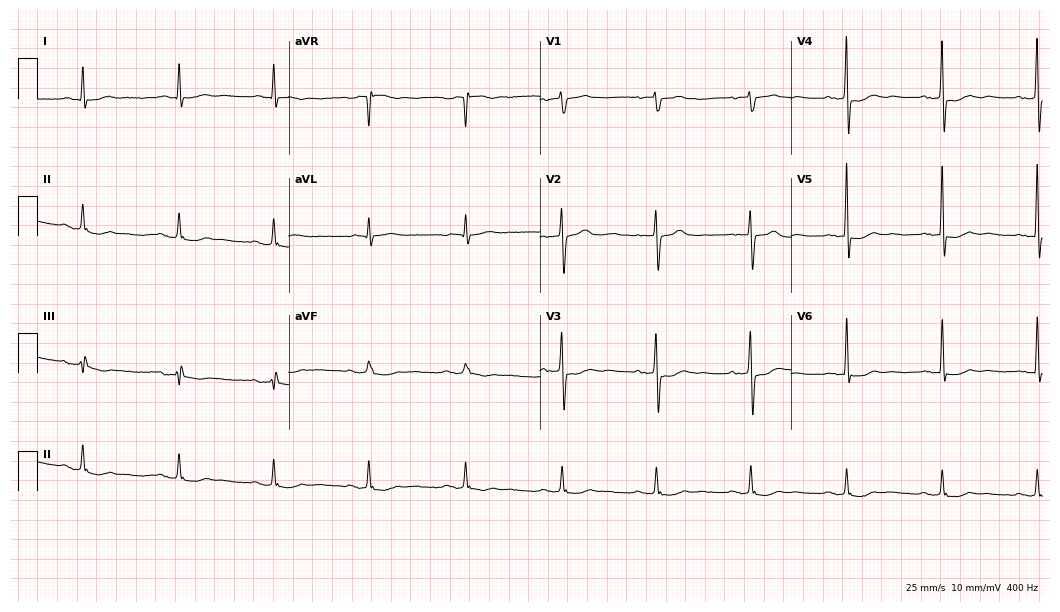
12-lead ECG from an 83-year-old female (10.2-second recording at 400 Hz). No first-degree AV block, right bundle branch block (RBBB), left bundle branch block (LBBB), sinus bradycardia, atrial fibrillation (AF) or sinus tachycardia recorded for this tracing. Only these six findings were labelled.